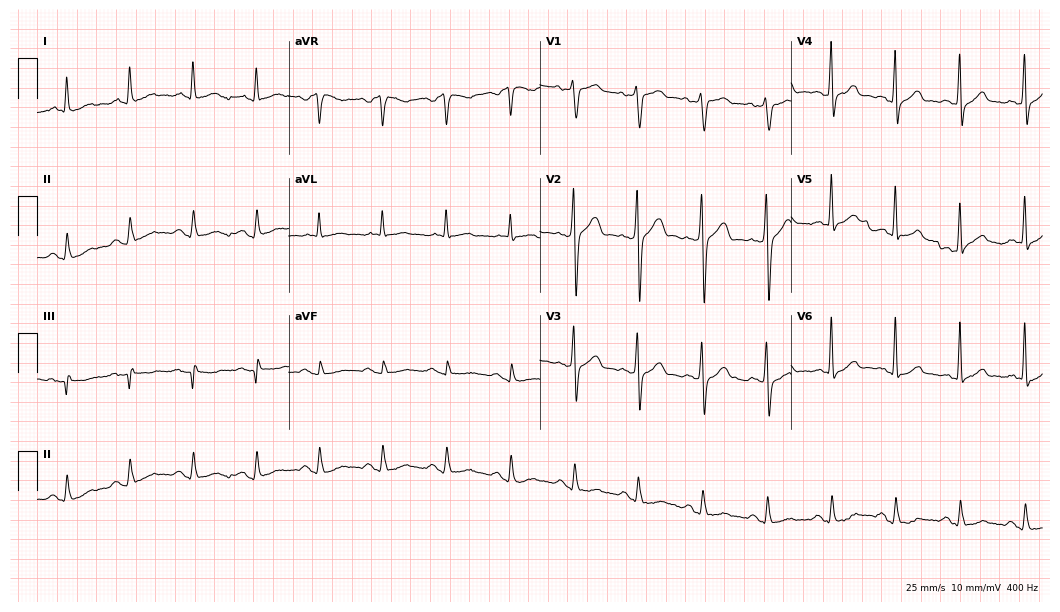
Electrocardiogram (10.2-second recording at 400 Hz), a 72-year-old male. Overall reading on record: normal ECG.